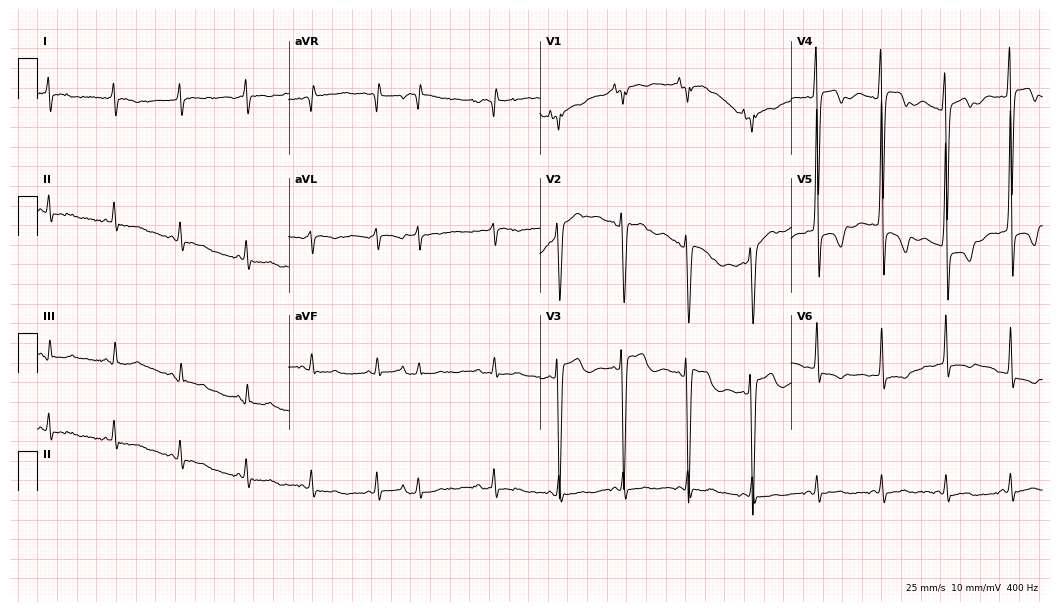
Electrocardiogram, a female, 74 years old. Of the six screened findings (first-degree AV block, right bundle branch block, left bundle branch block, sinus bradycardia, atrial fibrillation, sinus tachycardia), none is recorded.